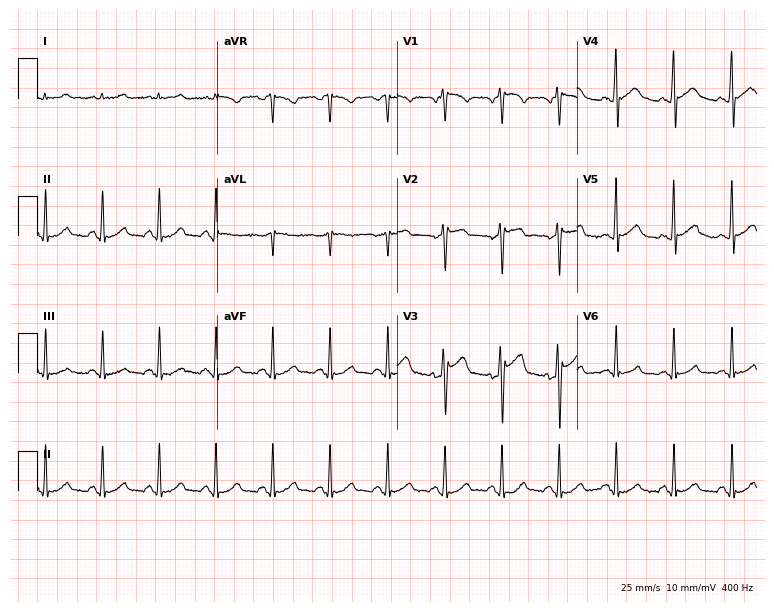
Standard 12-lead ECG recorded from a 54-year-old man (7.3-second recording at 400 Hz). The tracing shows sinus tachycardia (a sinus rate of 100 beats per minute or more).